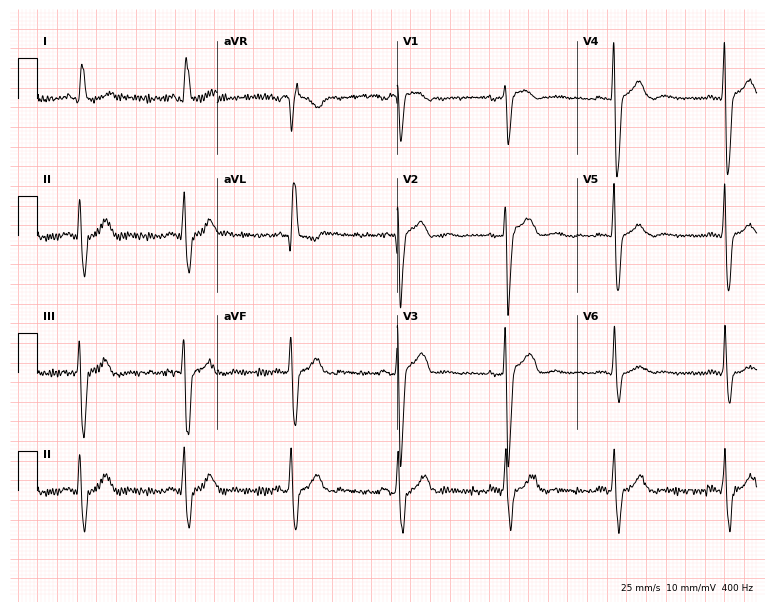
Resting 12-lead electrocardiogram (7.3-second recording at 400 Hz). Patient: a 63-year-old female. None of these six findings is recorded: first-degree AV block, right bundle branch block (RBBB), left bundle branch block (LBBB), sinus bradycardia, atrial fibrillation (AF), sinus tachycardia. Findings outside these six are not listed.